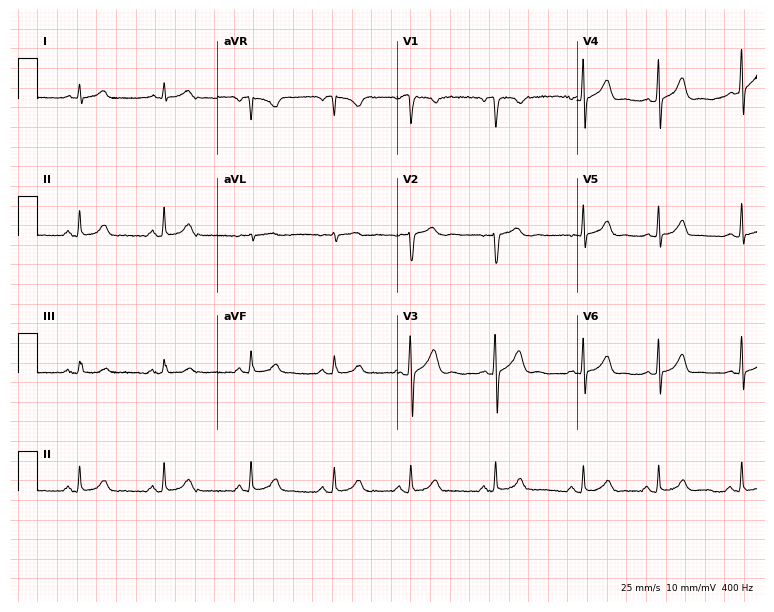
Standard 12-lead ECG recorded from a female, 21 years old (7.3-second recording at 400 Hz). None of these six findings is recorded: first-degree AV block, right bundle branch block (RBBB), left bundle branch block (LBBB), sinus bradycardia, atrial fibrillation (AF), sinus tachycardia. Only these six findings were labelled.